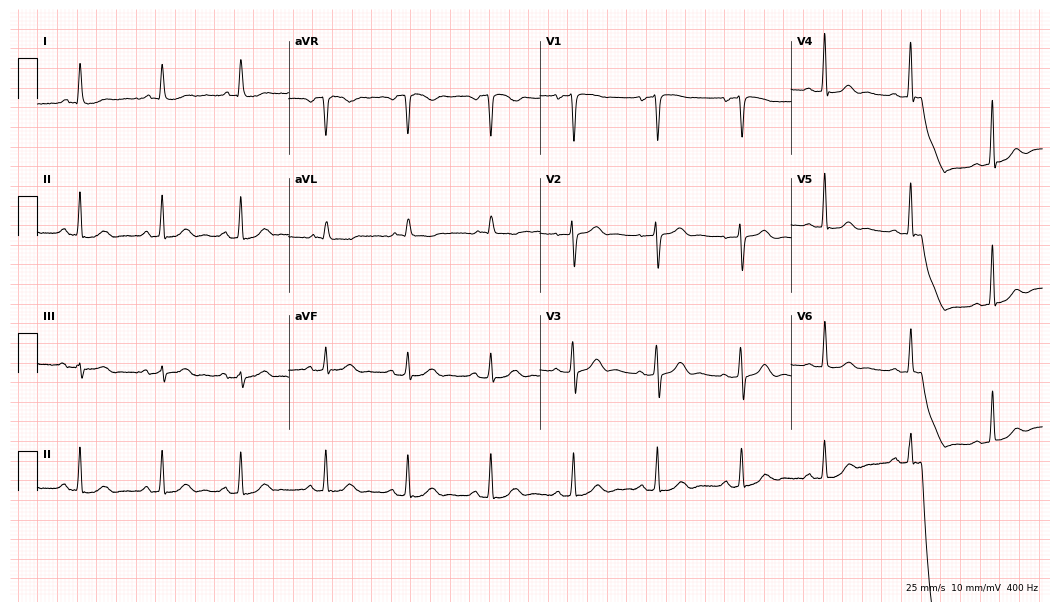
Electrocardiogram (10.2-second recording at 400 Hz), an 80-year-old female patient. Overall reading on record: normal ECG.